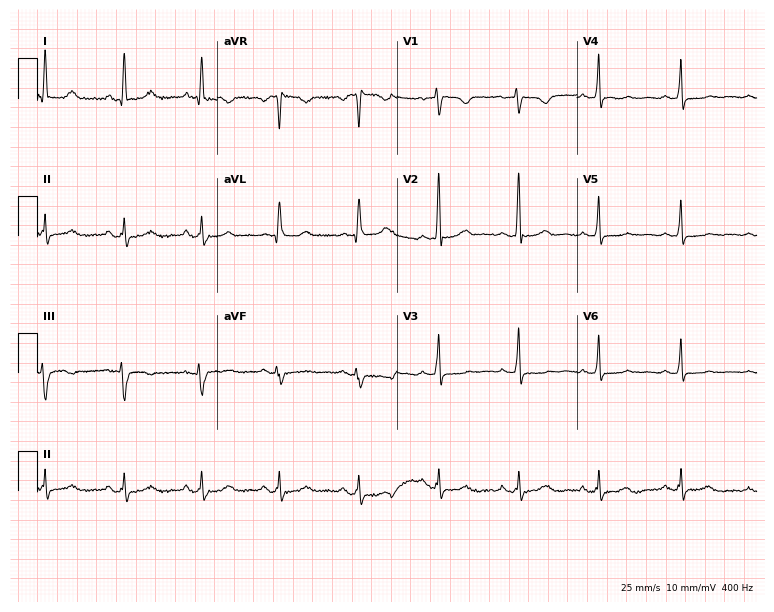
Standard 12-lead ECG recorded from a 58-year-old female patient. None of these six findings is recorded: first-degree AV block, right bundle branch block, left bundle branch block, sinus bradycardia, atrial fibrillation, sinus tachycardia.